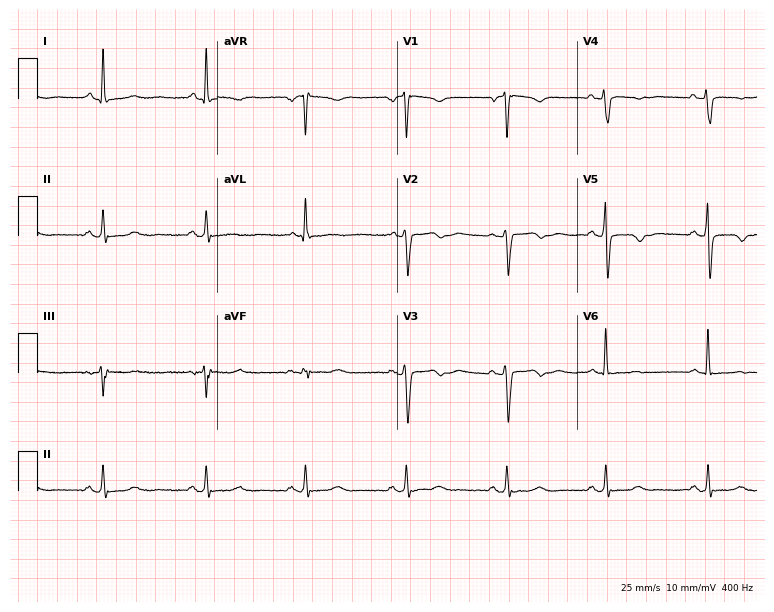
12-lead ECG (7.3-second recording at 400 Hz) from a female, 69 years old. Screened for six findings — first-degree AV block, right bundle branch block, left bundle branch block, sinus bradycardia, atrial fibrillation, sinus tachycardia — none is recorded. Other findings, if any, are not listed.